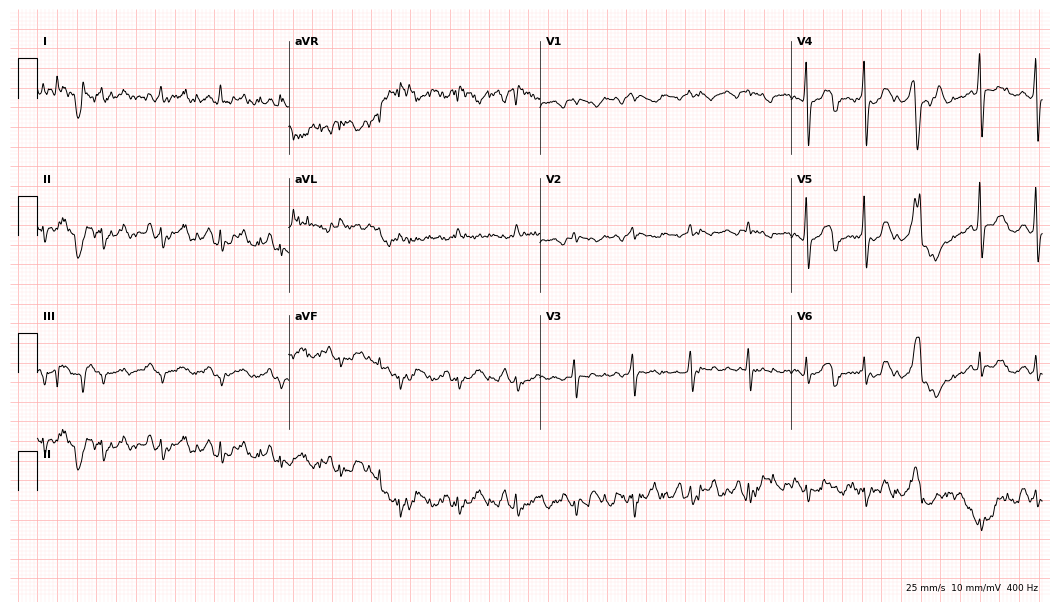
Resting 12-lead electrocardiogram (10.2-second recording at 400 Hz). Patient: a male, 71 years old. None of these six findings is recorded: first-degree AV block, right bundle branch block (RBBB), left bundle branch block (LBBB), sinus bradycardia, atrial fibrillation (AF), sinus tachycardia. Other findings, if any, are not listed.